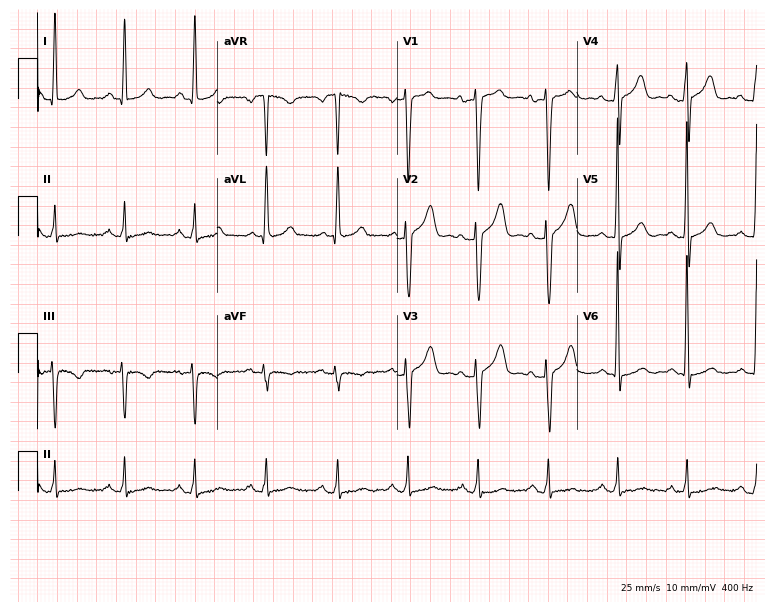
12-lead ECG from a female, 56 years old. No first-degree AV block, right bundle branch block (RBBB), left bundle branch block (LBBB), sinus bradycardia, atrial fibrillation (AF) or sinus tachycardia recorded for this tracing. Only these six findings were labelled.